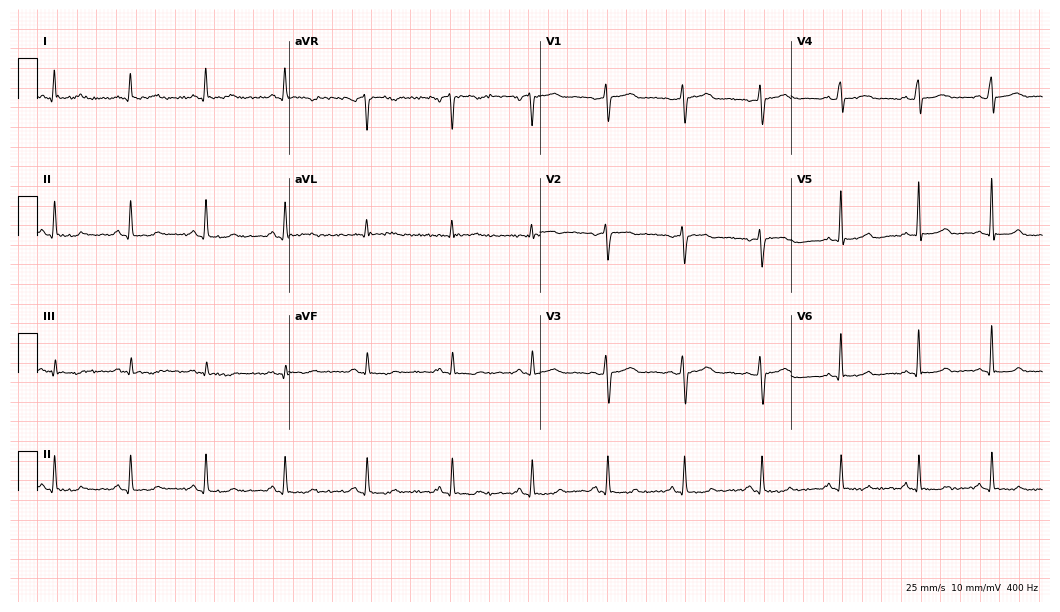
Electrocardiogram, a woman, 41 years old. Of the six screened findings (first-degree AV block, right bundle branch block, left bundle branch block, sinus bradycardia, atrial fibrillation, sinus tachycardia), none is recorded. Only these six findings were labelled.